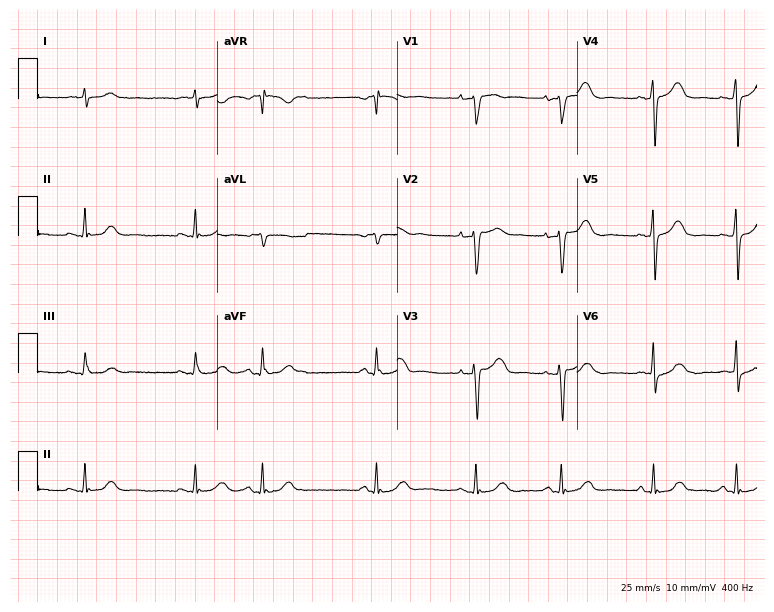
ECG (7.3-second recording at 400 Hz) — a 71-year-old man. Screened for six findings — first-degree AV block, right bundle branch block, left bundle branch block, sinus bradycardia, atrial fibrillation, sinus tachycardia — none is recorded. Findings outside these six are not listed.